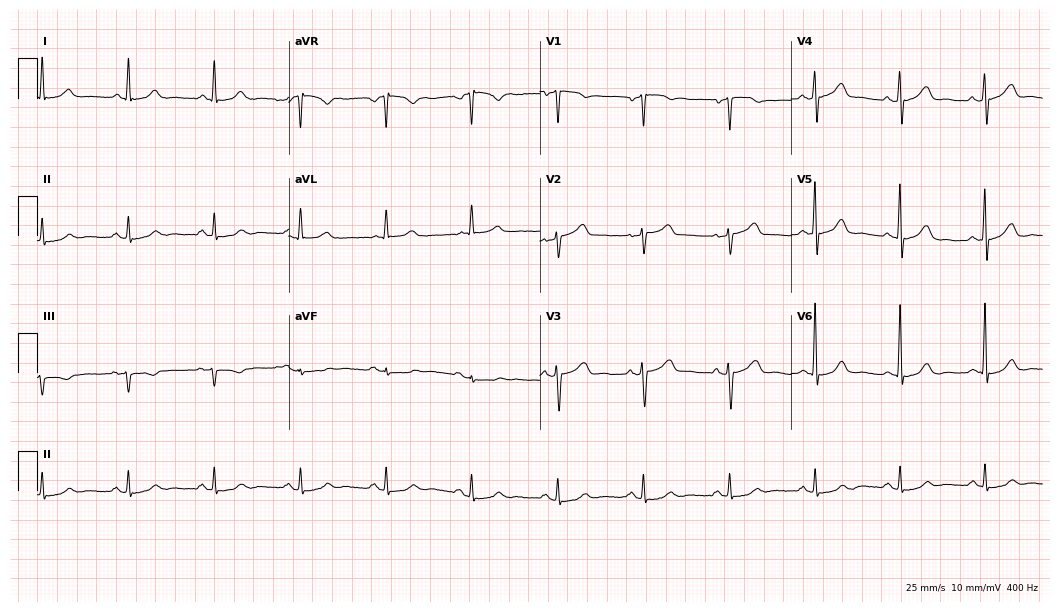
ECG — a man, 54 years old. Labelled as a normal ECG.